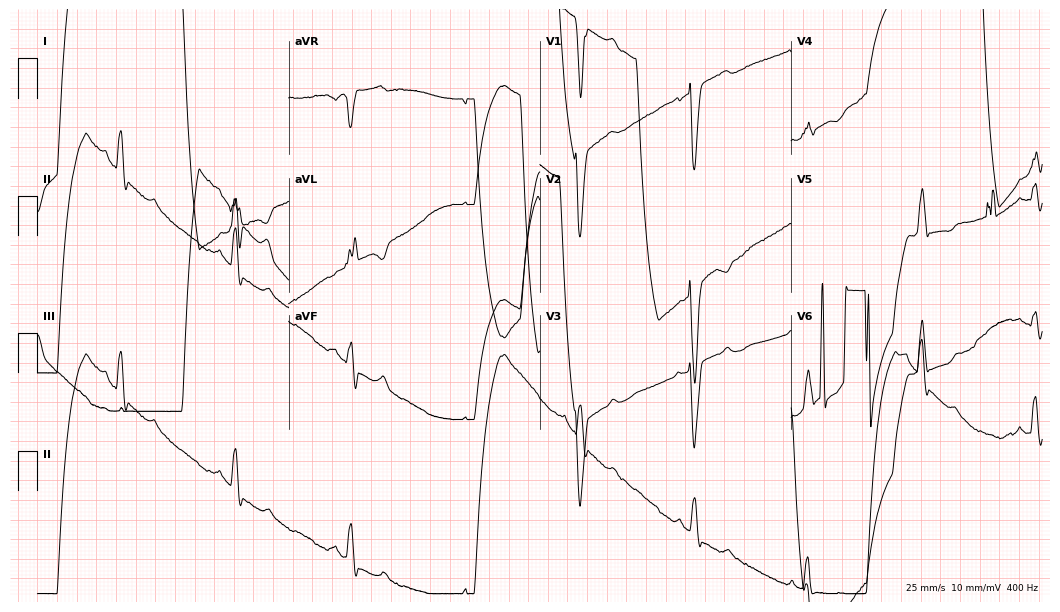
12-lead ECG from a female patient, 80 years old. Shows atrial fibrillation.